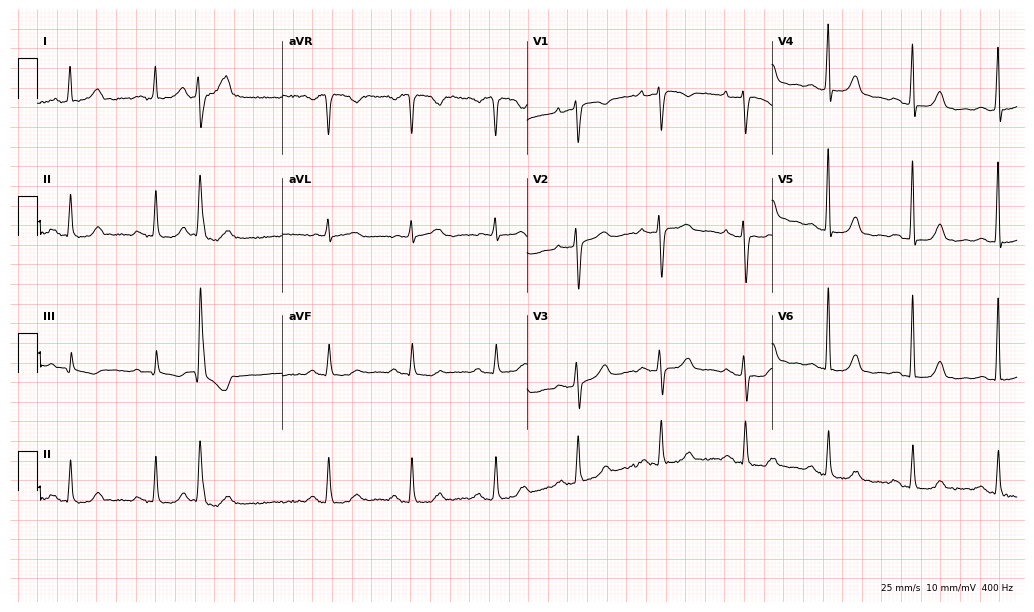
12-lead ECG from a female, 72 years old. Recorded interpretation: within normal limits.